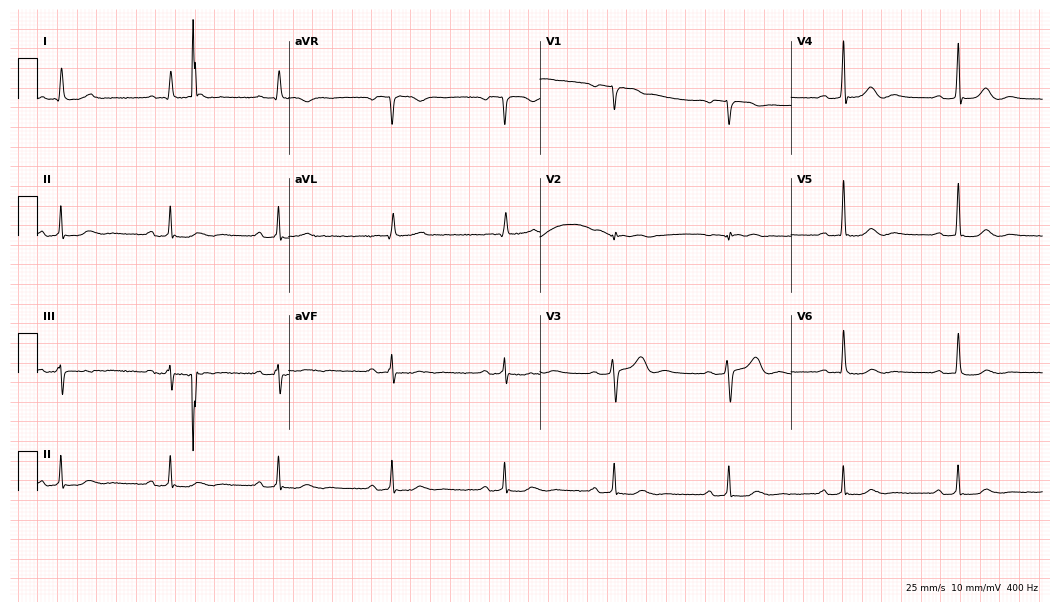
12-lead ECG from a woman, 76 years old (10.2-second recording at 400 Hz). Recorded interpretation: within normal limits.